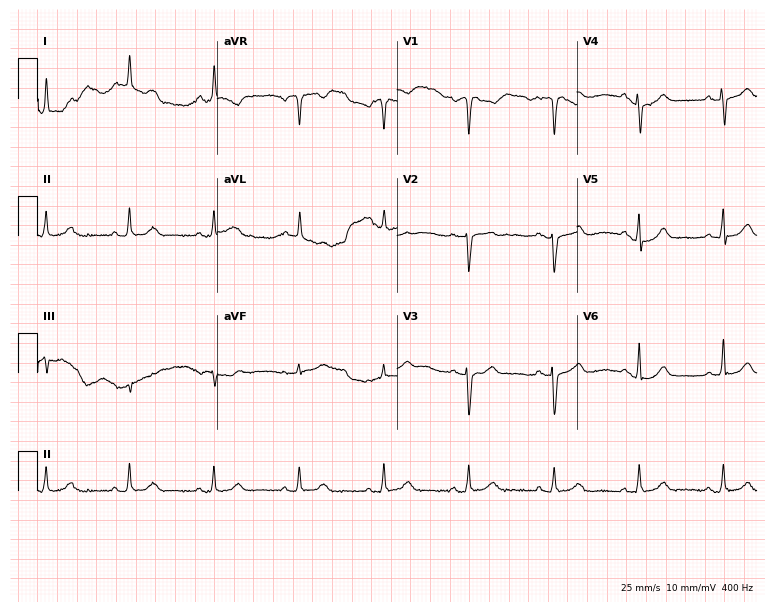
12-lead ECG from a woman, 63 years old. Labelled as a normal ECG.